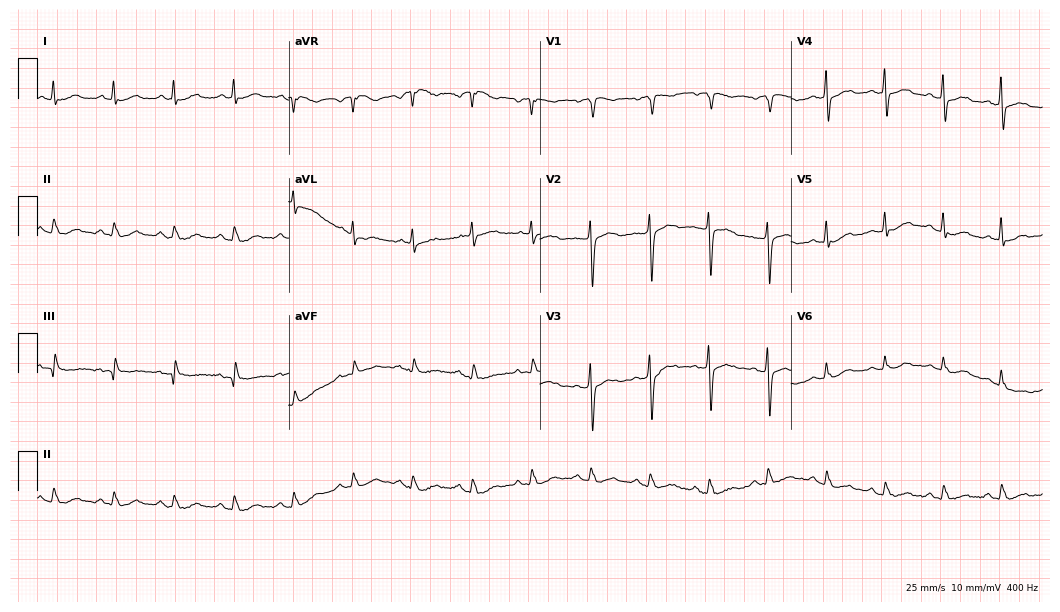
Resting 12-lead electrocardiogram (10.2-second recording at 400 Hz). Patient: a 70-year-old man. Read as a normal ECG.